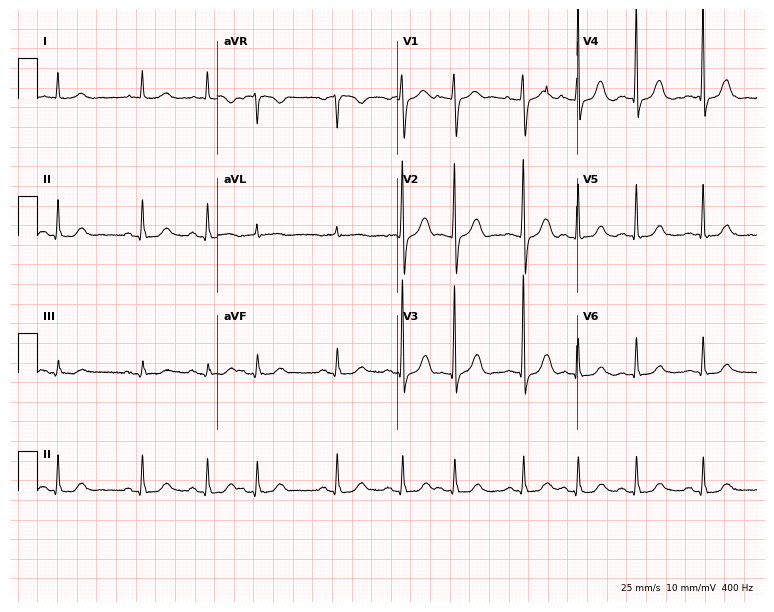
12-lead ECG from a 78-year-old woman. Screened for six findings — first-degree AV block, right bundle branch block (RBBB), left bundle branch block (LBBB), sinus bradycardia, atrial fibrillation (AF), sinus tachycardia — none is recorded.